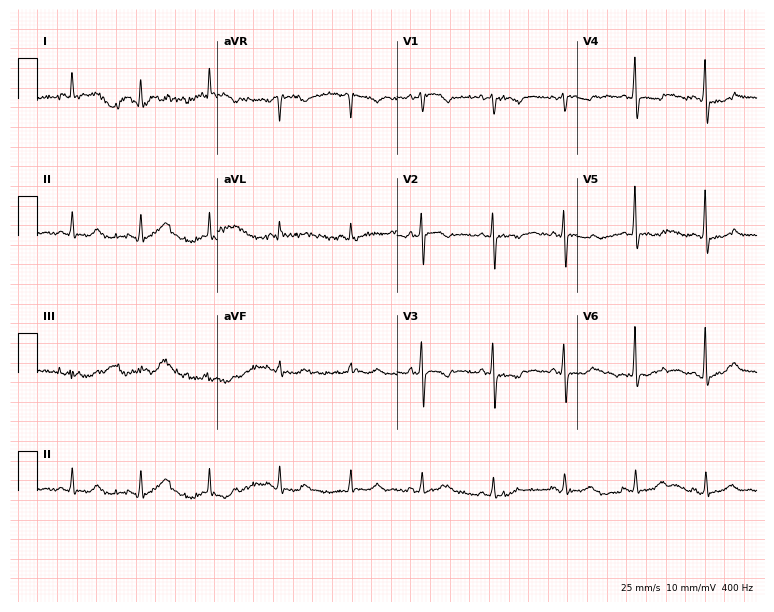
ECG — a 68-year-old woman. Screened for six findings — first-degree AV block, right bundle branch block (RBBB), left bundle branch block (LBBB), sinus bradycardia, atrial fibrillation (AF), sinus tachycardia — none is recorded. Only these six findings were labelled.